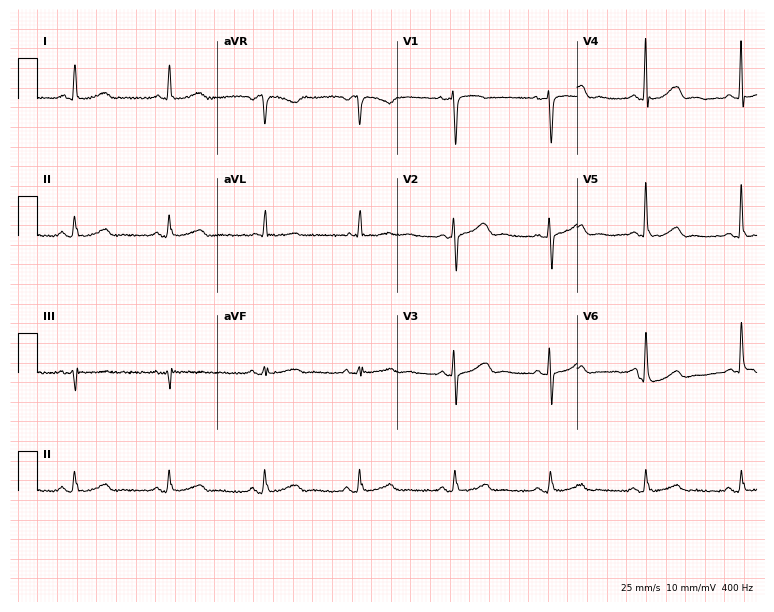
Resting 12-lead electrocardiogram. Patient: a female, 61 years old. Read as a normal ECG.